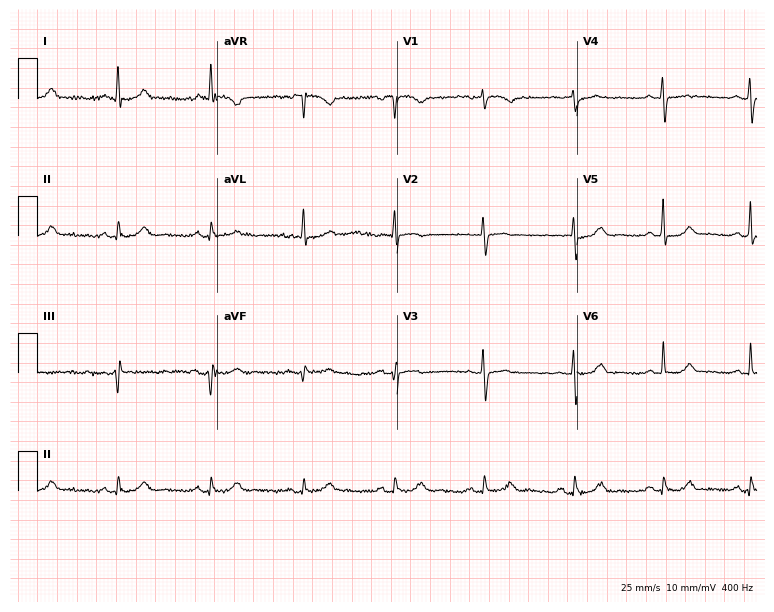
Resting 12-lead electrocardiogram (7.3-second recording at 400 Hz). Patient: a female, 70 years old. None of these six findings is recorded: first-degree AV block, right bundle branch block, left bundle branch block, sinus bradycardia, atrial fibrillation, sinus tachycardia. Findings outside these six are not listed.